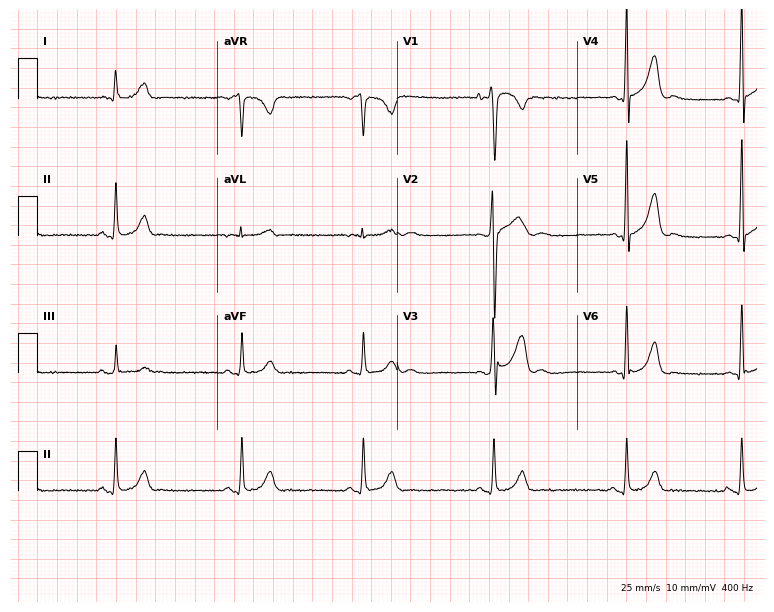
12-lead ECG from a 19-year-old man. Findings include sinus bradycardia (a sinus rate of 50 beats per minute or less).